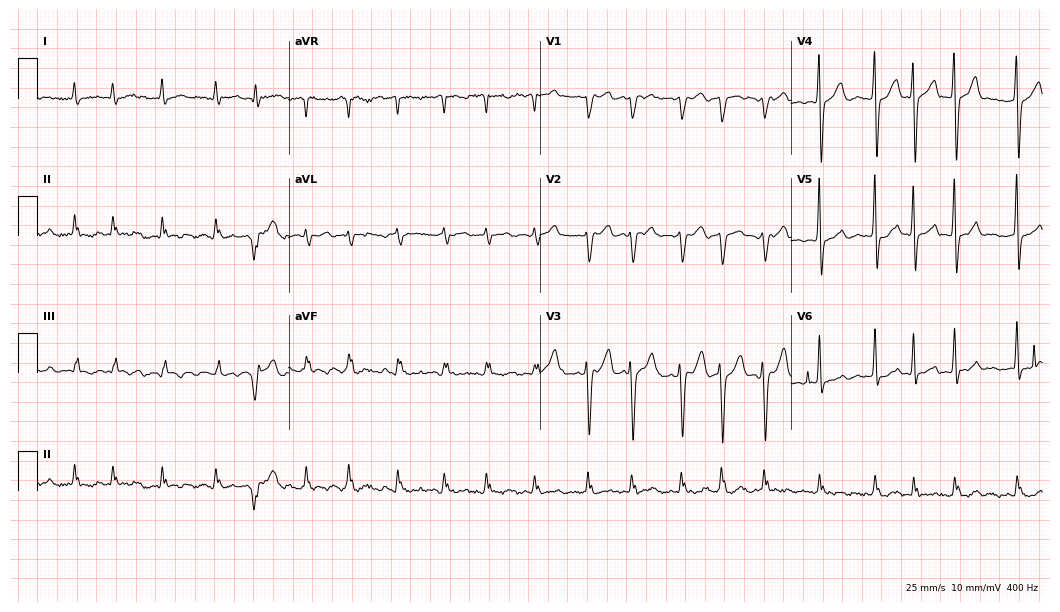
12-lead ECG from a male patient, 70 years old. Screened for six findings — first-degree AV block, right bundle branch block, left bundle branch block, sinus bradycardia, atrial fibrillation, sinus tachycardia — none is recorded.